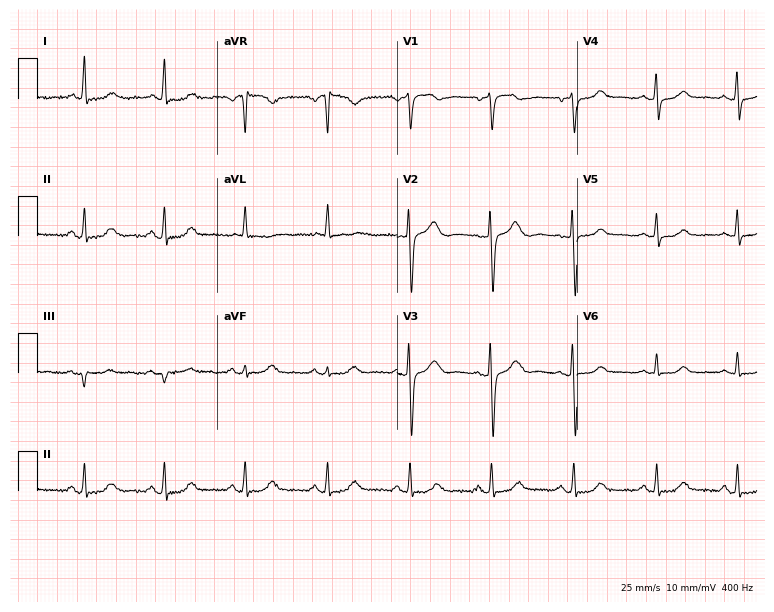
Standard 12-lead ECG recorded from a 66-year-old female (7.3-second recording at 400 Hz). None of these six findings is recorded: first-degree AV block, right bundle branch block, left bundle branch block, sinus bradycardia, atrial fibrillation, sinus tachycardia. Other findings, if any, are not listed.